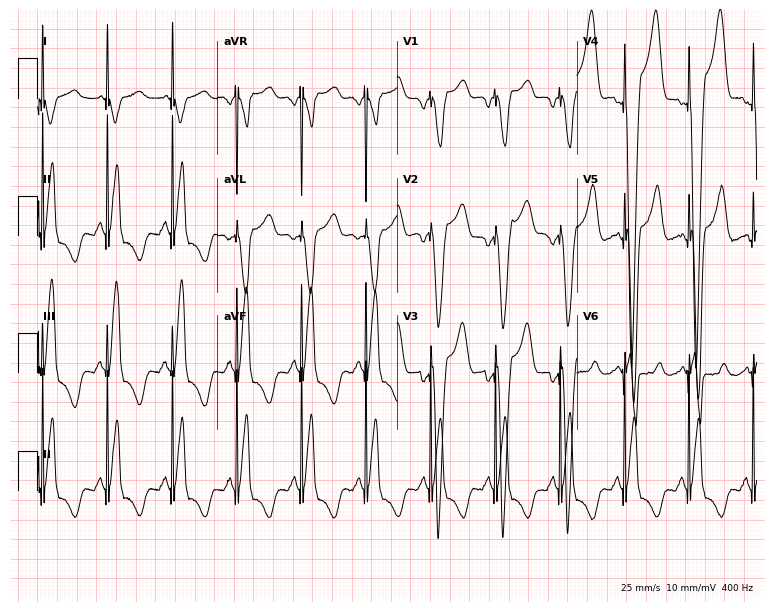
ECG (7.3-second recording at 400 Hz) — an 82-year-old man. Screened for six findings — first-degree AV block, right bundle branch block (RBBB), left bundle branch block (LBBB), sinus bradycardia, atrial fibrillation (AF), sinus tachycardia — none is recorded.